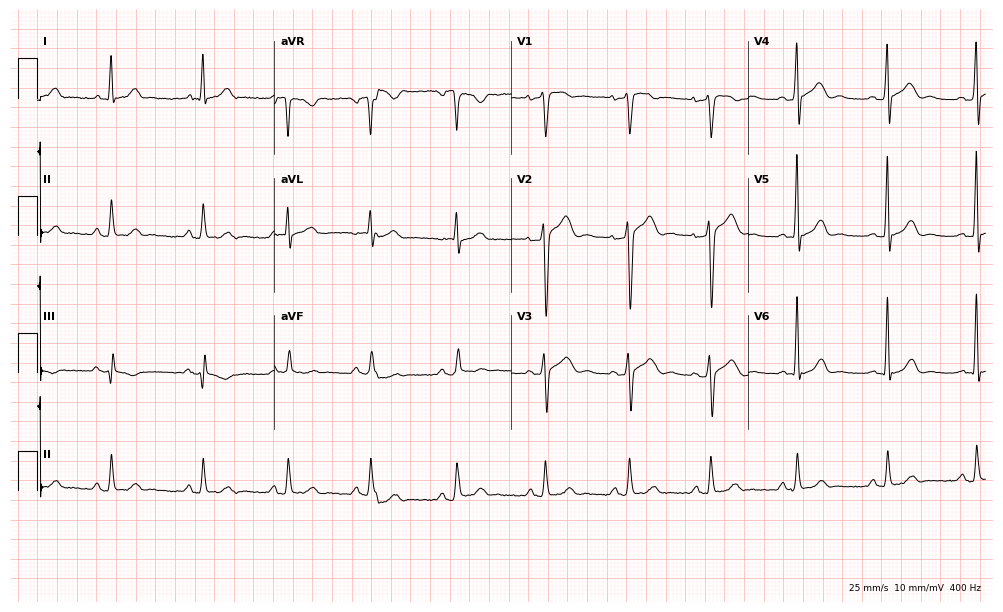
ECG (9.7-second recording at 400 Hz) — a 52-year-old male. Screened for six findings — first-degree AV block, right bundle branch block, left bundle branch block, sinus bradycardia, atrial fibrillation, sinus tachycardia — none is recorded.